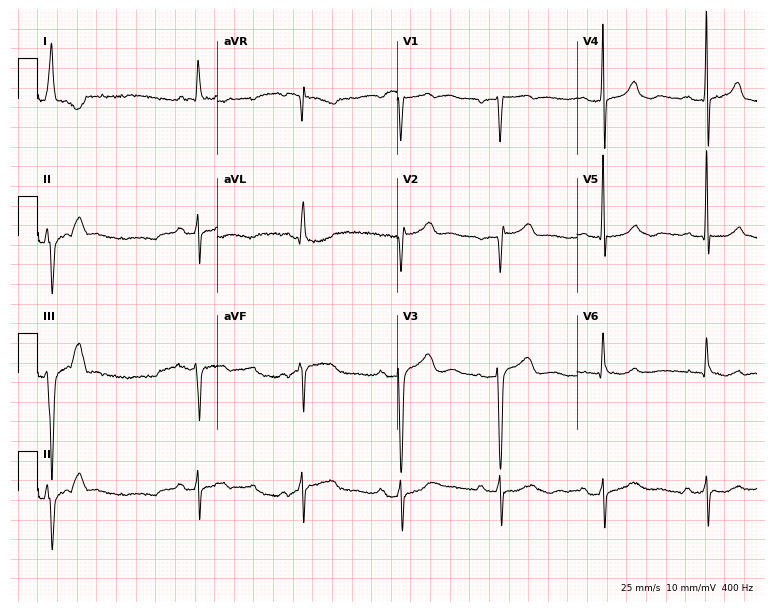
12-lead ECG from a 75-year-old woman. Screened for six findings — first-degree AV block, right bundle branch block, left bundle branch block, sinus bradycardia, atrial fibrillation, sinus tachycardia — none is recorded. Other findings, if any, are not listed.